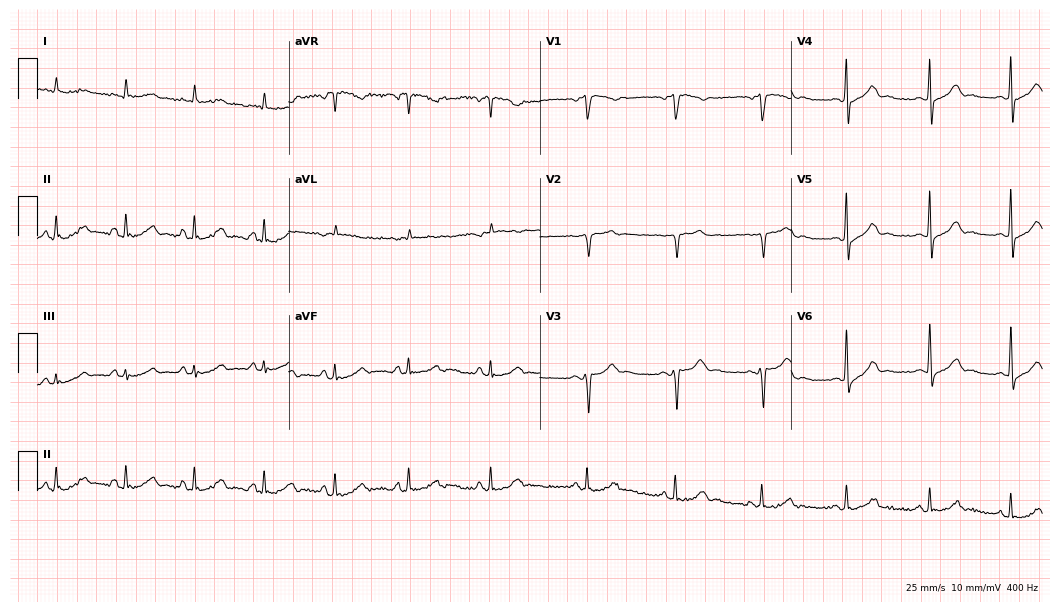
12-lead ECG from a 48-year-old man. No first-degree AV block, right bundle branch block (RBBB), left bundle branch block (LBBB), sinus bradycardia, atrial fibrillation (AF) or sinus tachycardia recorded for this tracing. Findings outside these six are not listed.